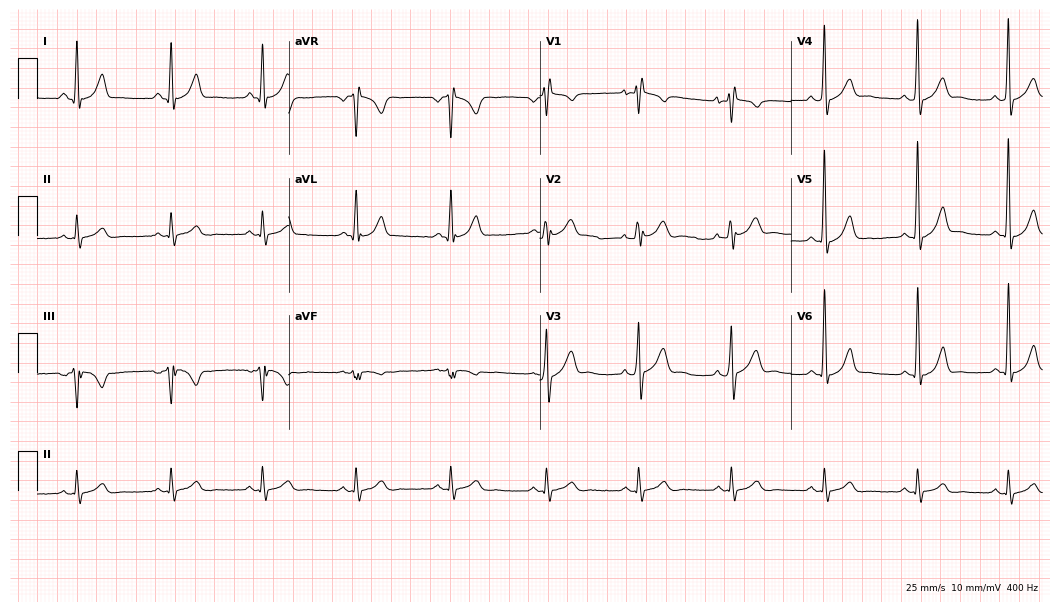
Standard 12-lead ECG recorded from a 39-year-old male. None of these six findings is recorded: first-degree AV block, right bundle branch block, left bundle branch block, sinus bradycardia, atrial fibrillation, sinus tachycardia. Only these six findings were labelled.